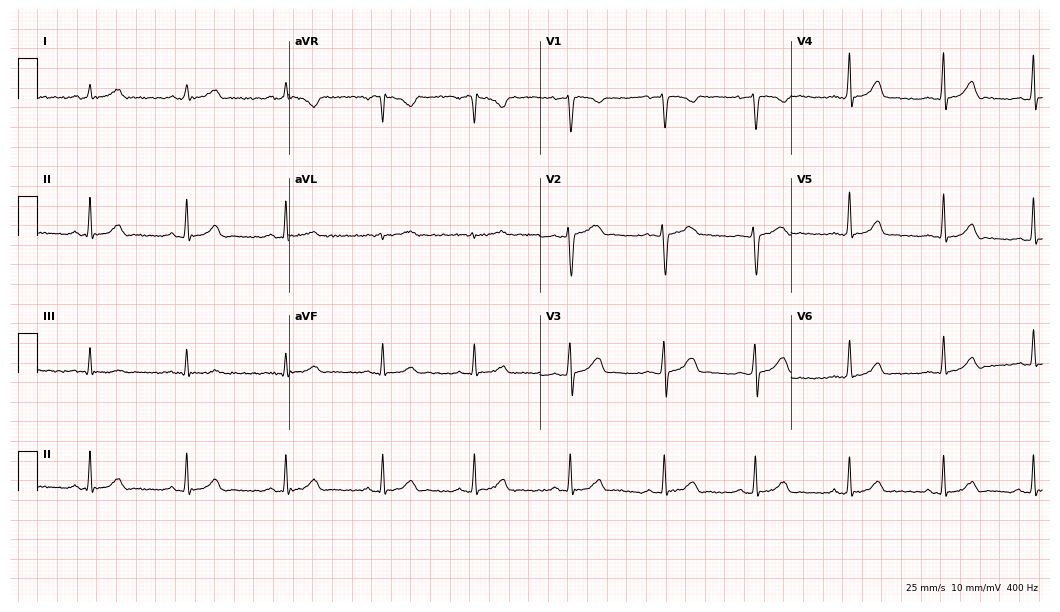
Resting 12-lead electrocardiogram (10.2-second recording at 400 Hz). Patient: a female, 34 years old. Read as a normal ECG.